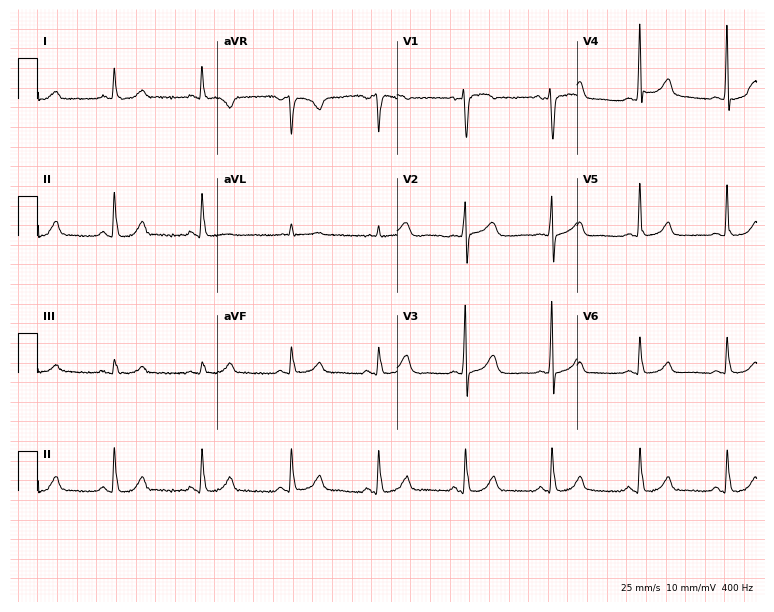
12-lead ECG from a 64-year-old female patient. Labelled as a normal ECG.